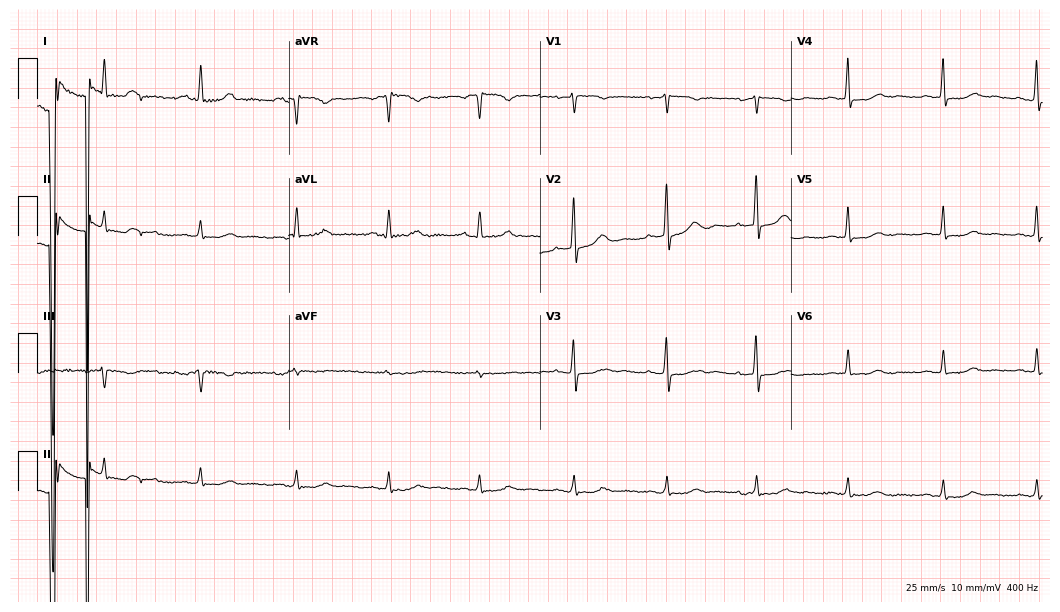
12-lead ECG (10.2-second recording at 400 Hz) from a female, 60 years old. Screened for six findings — first-degree AV block, right bundle branch block, left bundle branch block, sinus bradycardia, atrial fibrillation, sinus tachycardia — none is recorded. Other findings, if any, are not listed.